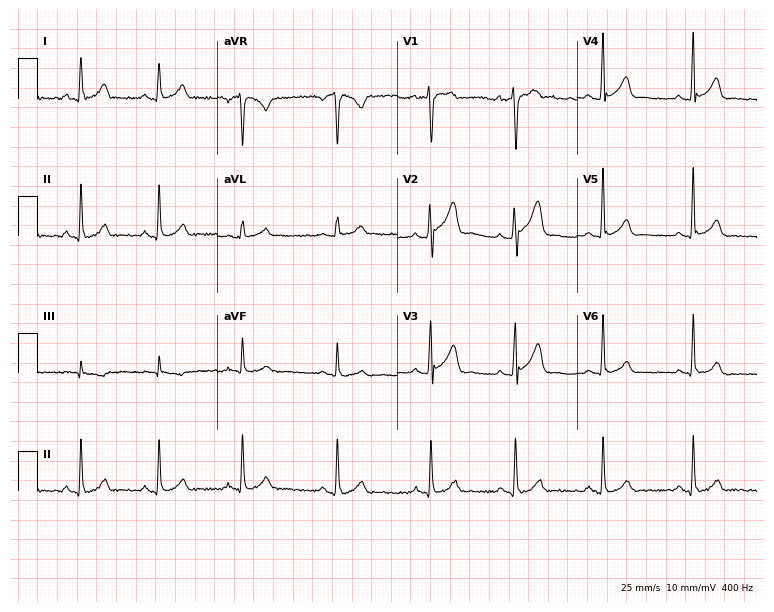
ECG (7.3-second recording at 400 Hz) — a 22-year-old male patient. Screened for six findings — first-degree AV block, right bundle branch block, left bundle branch block, sinus bradycardia, atrial fibrillation, sinus tachycardia — none is recorded. Findings outside these six are not listed.